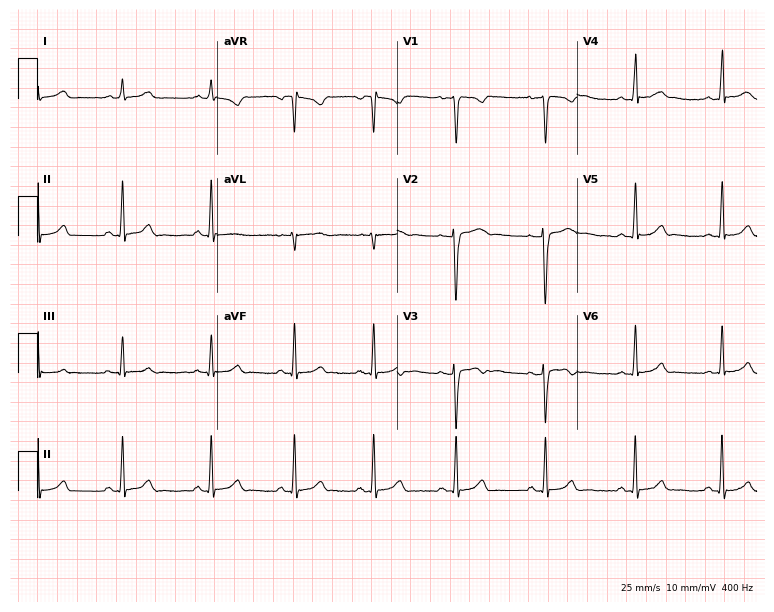
Standard 12-lead ECG recorded from a female, 20 years old (7.3-second recording at 400 Hz). Read as a normal ECG.